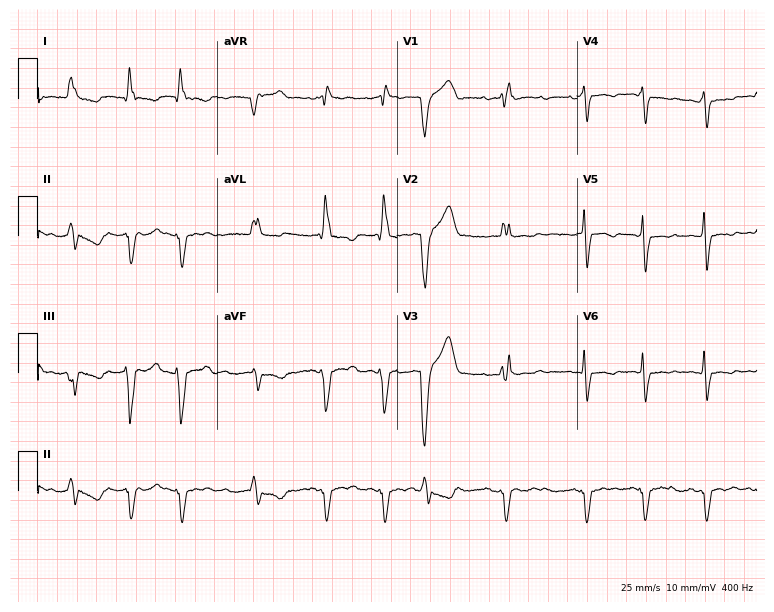
Resting 12-lead electrocardiogram. Patient: a woman, 77 years old. The tracing shows right bundle branch block (RBBB), atrial fibrillation (AF).